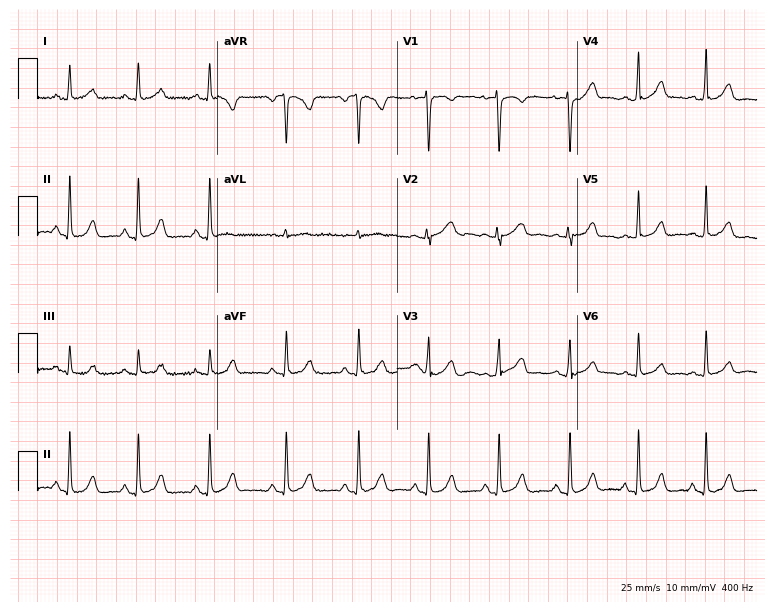
Electrocardiogram, a 30-year-old female patient. Of the six screened findings (first-degree AV block, right bundle branch block, left bundle branch block, sinus bradycardia, atrial fibrillation, sinus tachycardia), none is recorded. Other findings, if any, are not listed.